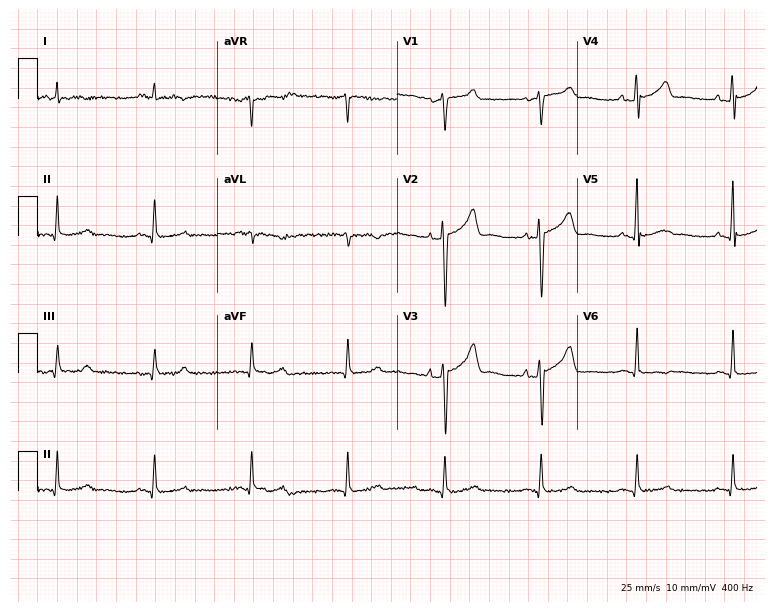
12-lead ECG from a man, 67 years old (7.3-second recording at 400 Hz). No first-degree AV block, right bundle branch block (RBBB), left bundle branch block (LBBB), sinus bradycardia, atrial fibrillation (AF) or sinus tachycardia recorded for this tracing.